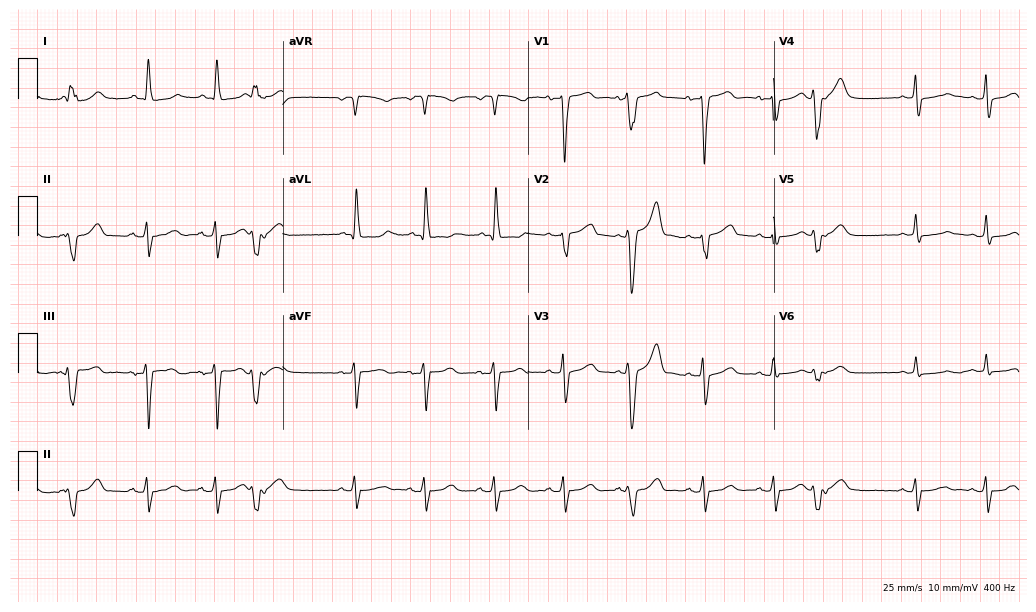
Standard 12-lead ECG recorded from a 57-year-old woman. None of these six findings is recorded: first-degree AV block, right bundle branch block (RBBB), left bundle branch block (LBBB), sinus bradycardia, atrial fibrillation (AF), sinus tachycardia. Only these six findings were labelled.